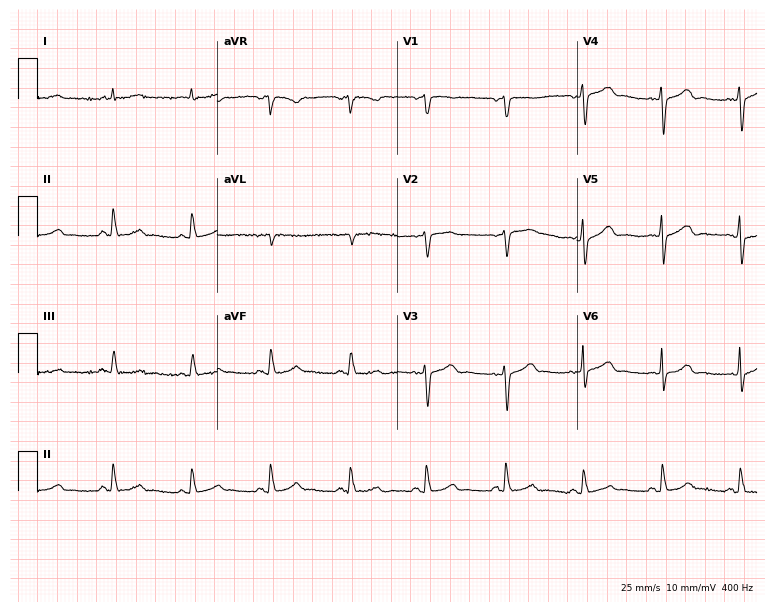
12-lead ECG (7.3-second recording at 400 Hz) from a male, 82 years old. Screened for six findings — first-degree AV block, right bundle branch block, left bundle branch block, sinus bradycardia, atrial fibrillation, sinus tachycardia — none is recorded.